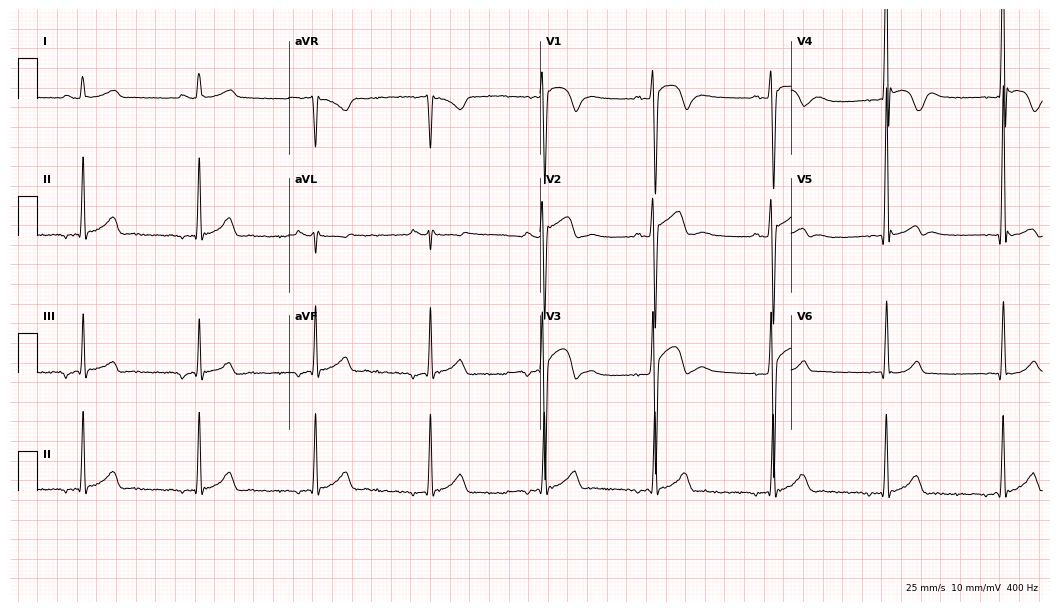
12-lead ECG (10.2-second recording at 400 Hz) from a man, 18 years old. Screened for six findings — first-degree AV block, right bundle branch block, left bundle branch block, sinus bradycardia, atrial fibrillation, sinus tachycardia — none is recorded. Other findings, if any, are not listed.